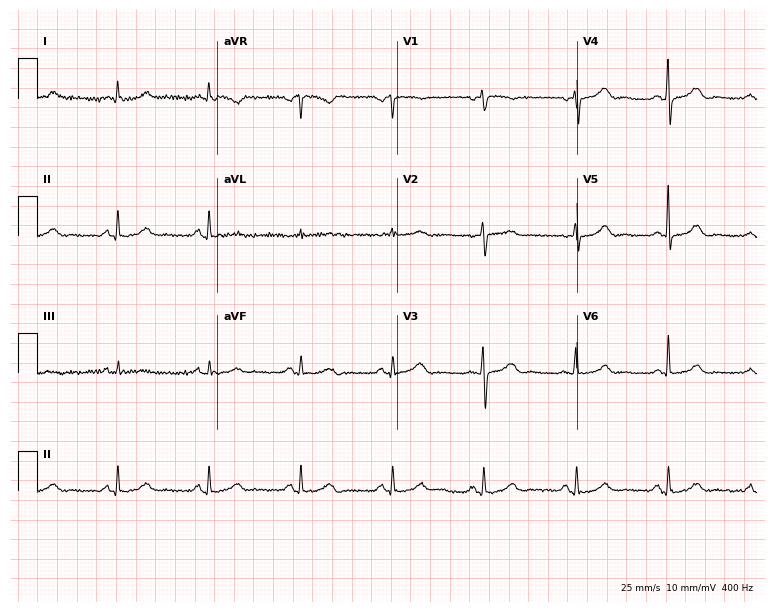
ECG (7.3-second recording at 400 Hz) — a 60-year-old female. Labelled as a normal ECG.